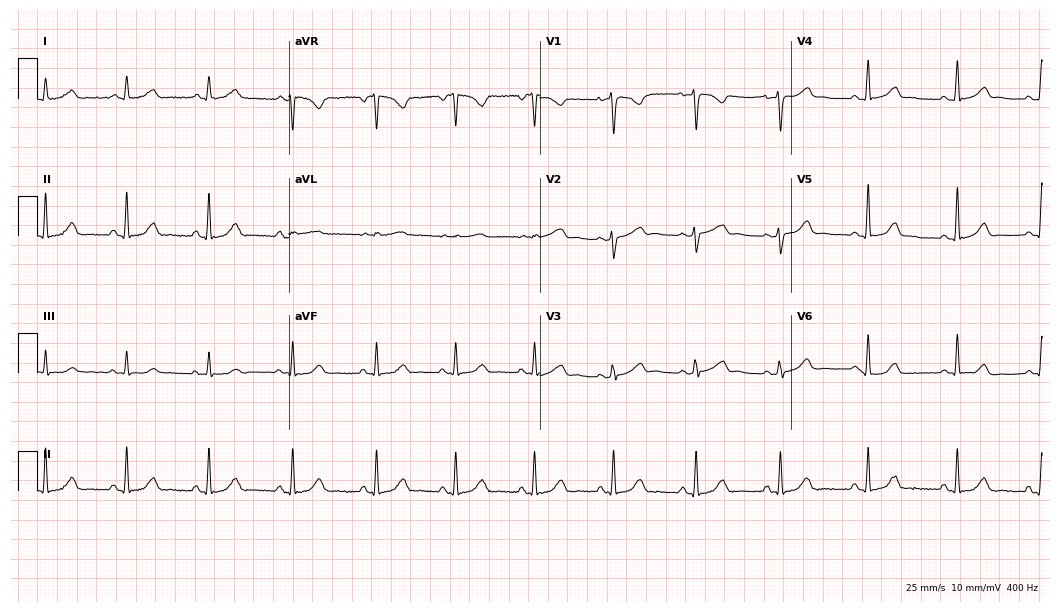
Resting 12-lead electrocardiogram (10.2-second recording at 400 Hz). Patient: a 34-year-old female. None of these six findings is recorded: first-degree AV block, right bundle branch block, left bundle branch block, sinus bradycardia, atrial fibrillation, sinus tachycardia.